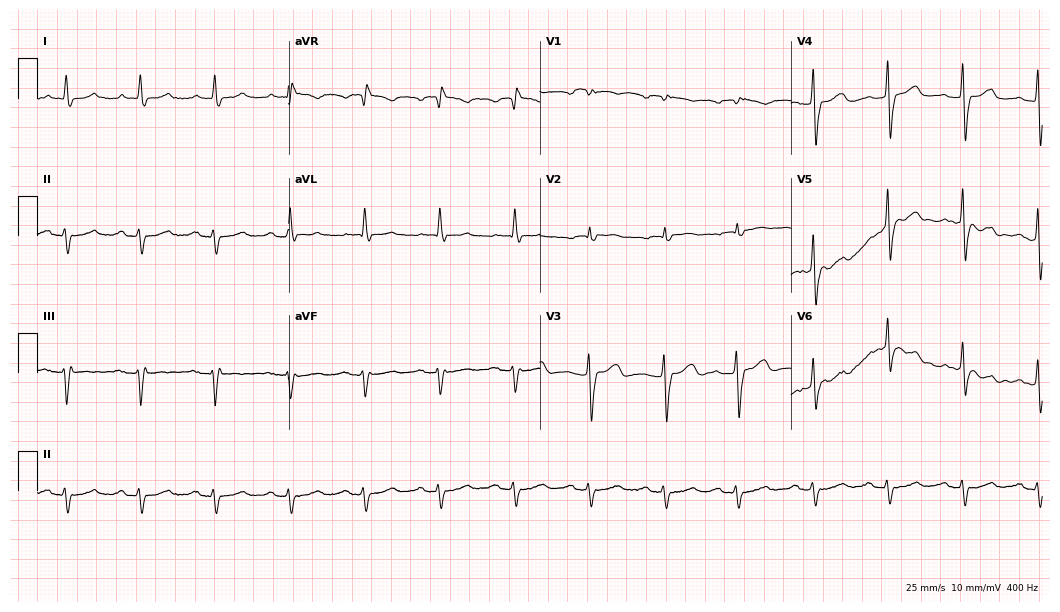
Standard 12-lead ECG recorded from a male patient, 83 years old (10.2-second recording at 400 Hz). None of these six findings is recorded: first-degree AV block, right bundle branch block, left bundle branch block, sinus bradycardia, atrial fibrillation, sinus tachycardia. Other findings, if any, are not listed.